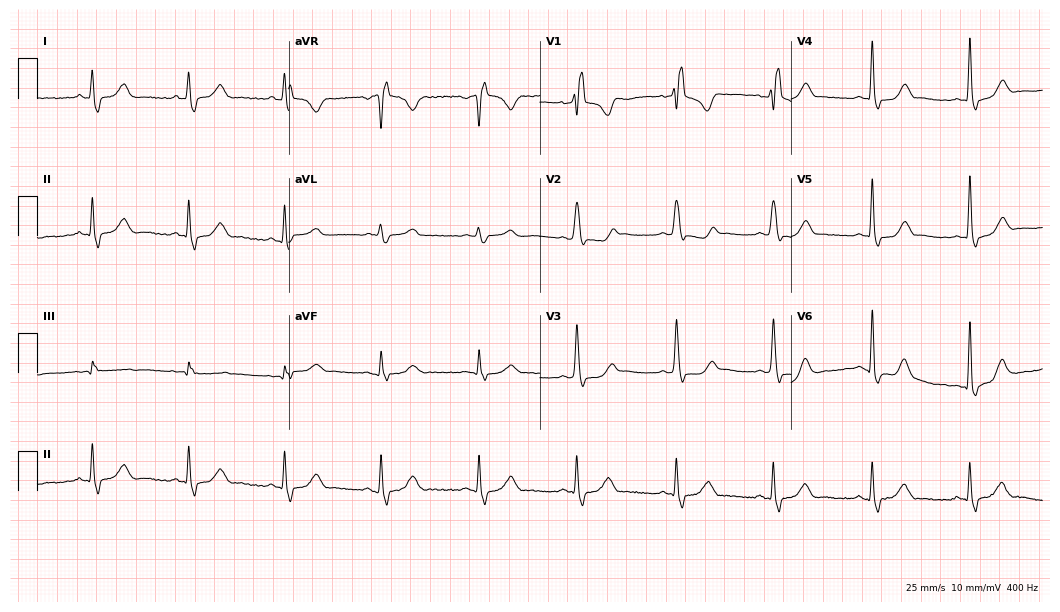
Standard 12-lead ECG recorded from a woman, 39 years old (10.2-second recording at 400 Hz). The tracing shows right bundle branch block.